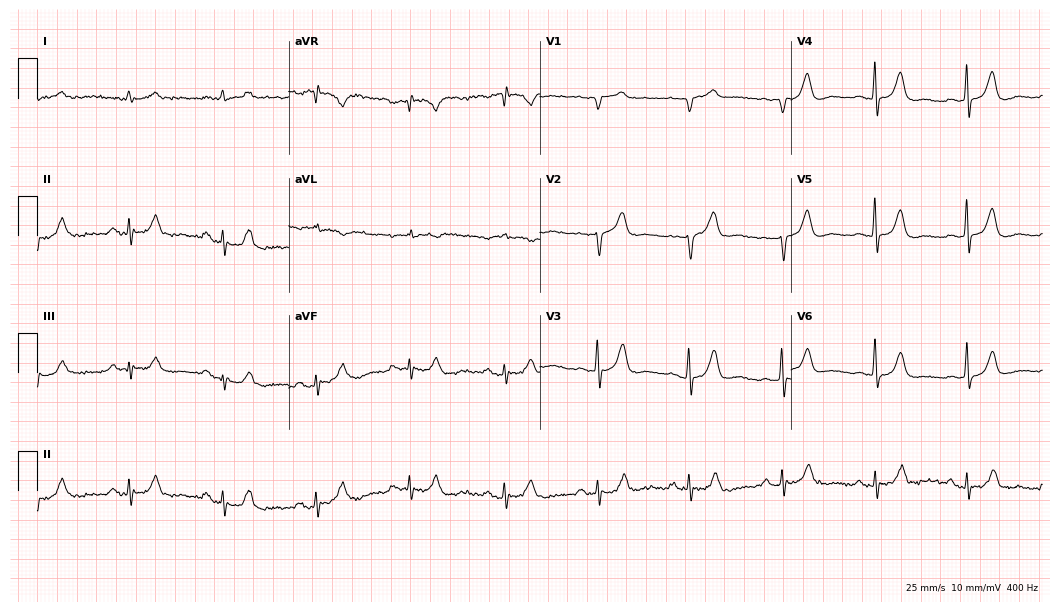
Electrocardiogram, an 85-year-old male patient. Of the six screened findings (first-degree AV block, right bundle branch block, left bundle branch block, sinus bradycardia, atrial fibrillation, sinus tachycardia), none is recorded.